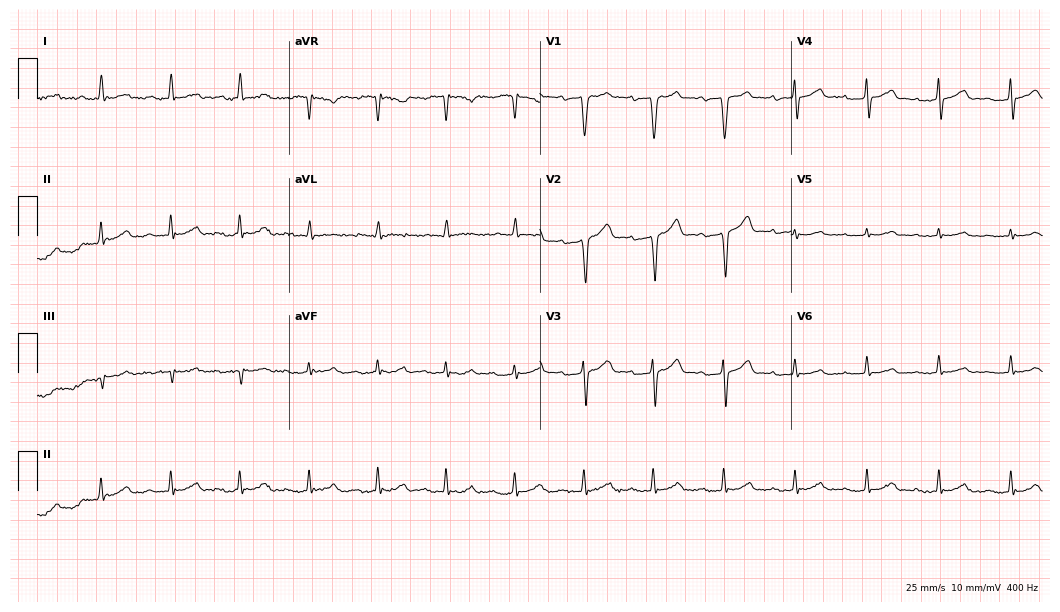
Resting 12-lead electrocardiogram (10.2-second recording at 400 Hz). Patient: a 72-year-old male. None of these six findings is recorded: first-degree AV block, right bundle branch block, left bundle branch block, sinus bradycardia, atrial fibrillation, sinus tachycardia. Other findings, if any, are not listed.